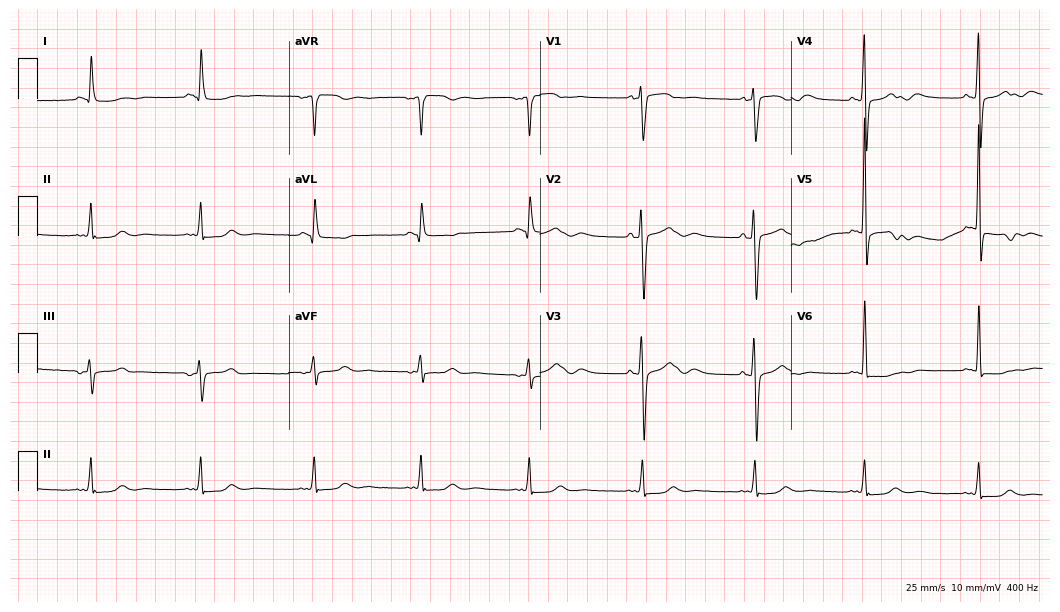
Resting 12-lead electrocardiogram (10.2-second recording at 400 Hz). Patient: a male, 76 years old. None of these six findings is recorded: first-degree AV block, right bundle branch block (RBBB), left bundle branch block (LBBB), sinus bradycardia, atrial fibrillation (AF), sinus tachycardia. Findings outside these six are not listed.